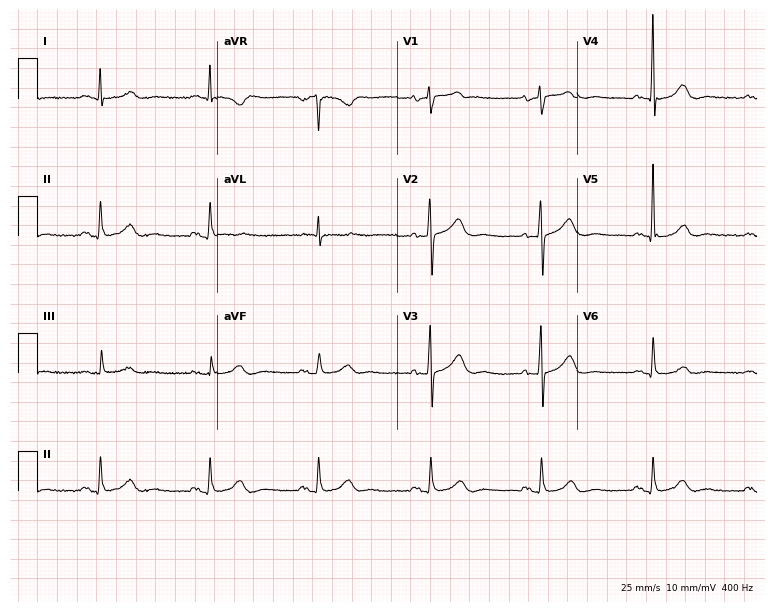
12-lead ECG from a man, 73 years old (7.3-second recording at 400 Hz). No first-degree AV block, right bundle branch block (RBBB), left bundle branch block (LBBB), sinus bradycardia, atrial fibrillation (AF) or sinus tachycardia recorded for this tracing. Findings outside these six are not listed.